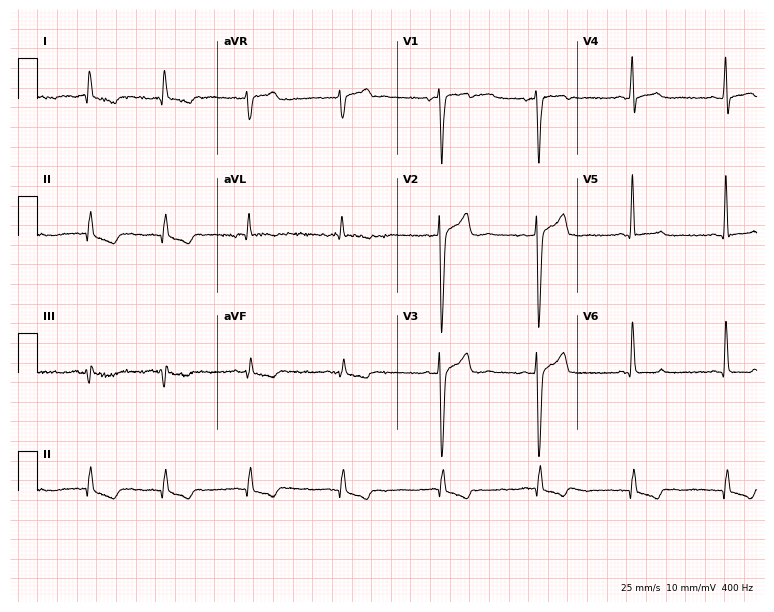
12-lead ECG from a 39-year-old male patient. Screened for six findings — first-degree AV block, right bundle branch block (RBBB), left bundle branch block (LBBB), sinus bradycardia, atrial fibrillation (AF), sinus tachycardia — none is recorded. Only these six findings were labelled.